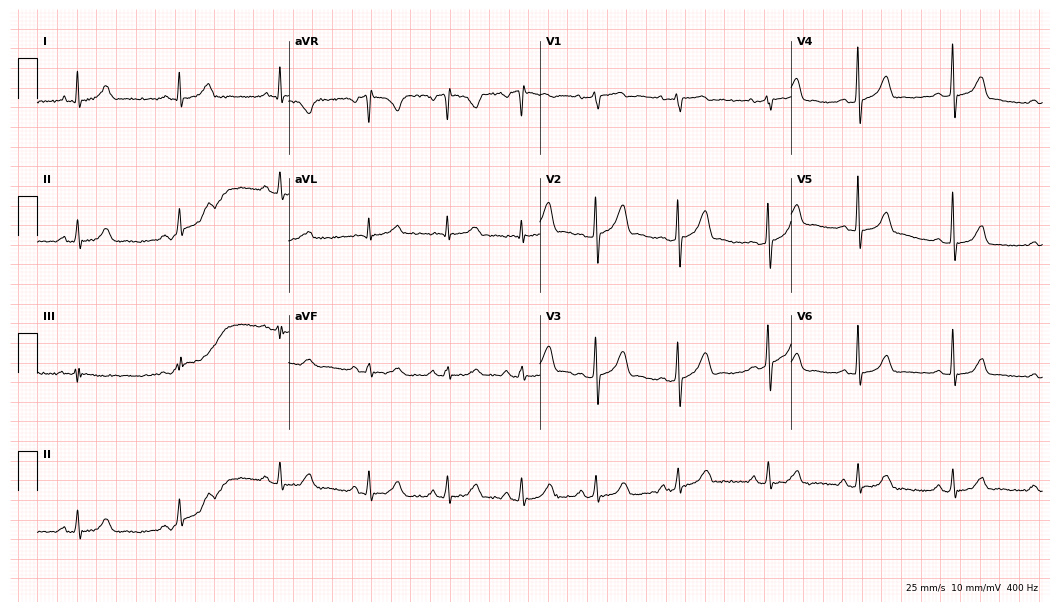
12-lead ECG (10.2-second recording at 400 Hz) from a woman, 60 years old. Labelled as a normal ECG.